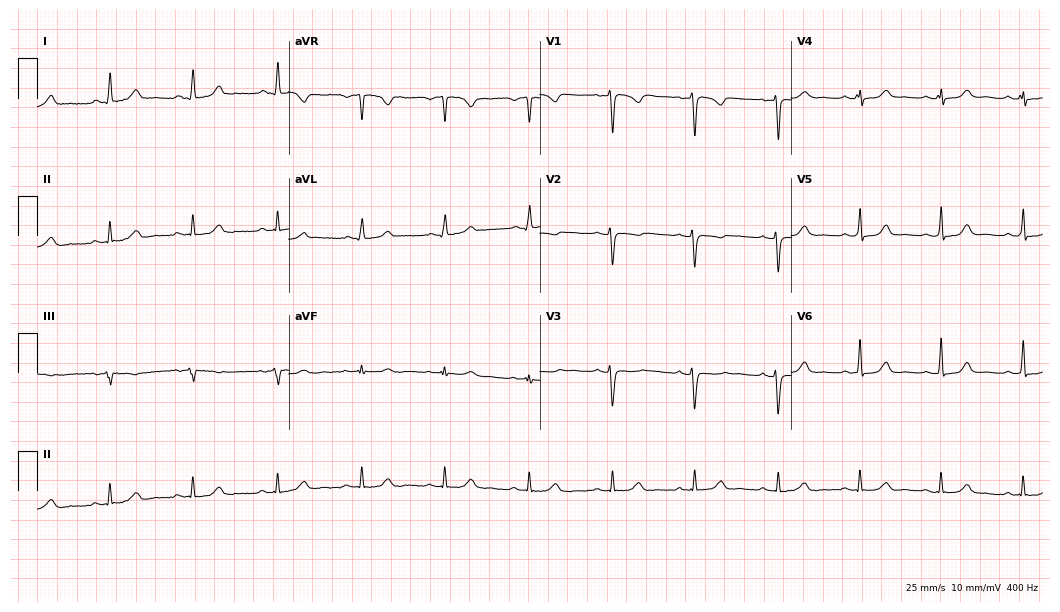
Resting 12-lead electrocardiogram. Patient: a female, 46 years old. Read as a normal ECG.